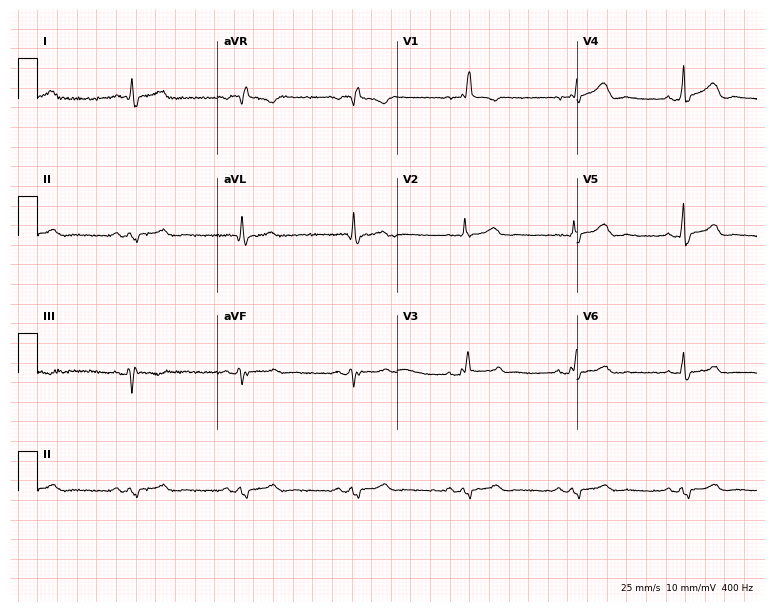
Electrocardiogram (7.3-second recording at 400 Hz), a male patient, 59 years old. Interpretation includes right bundle branch block (RBBB).